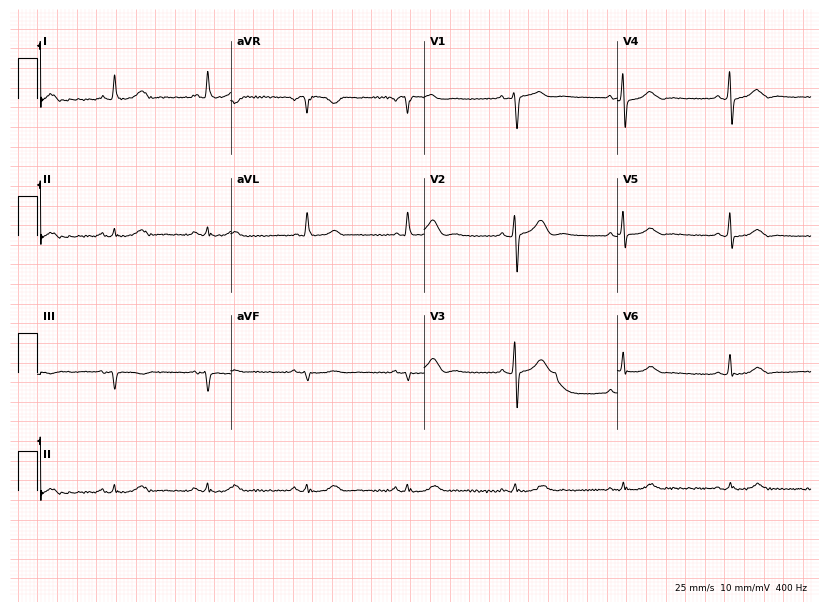
Resting 12-lead electrocardiogram (7.9-second recording at 400 Hz). Patient: a 67-year-old female. None of these six findings is recorded: first-degree AV block, right bundle branch block (RBBB), left bundle branch block (LBBB), sinus bradycardia, atrial fibrillation (AF), sinus tachycardia.